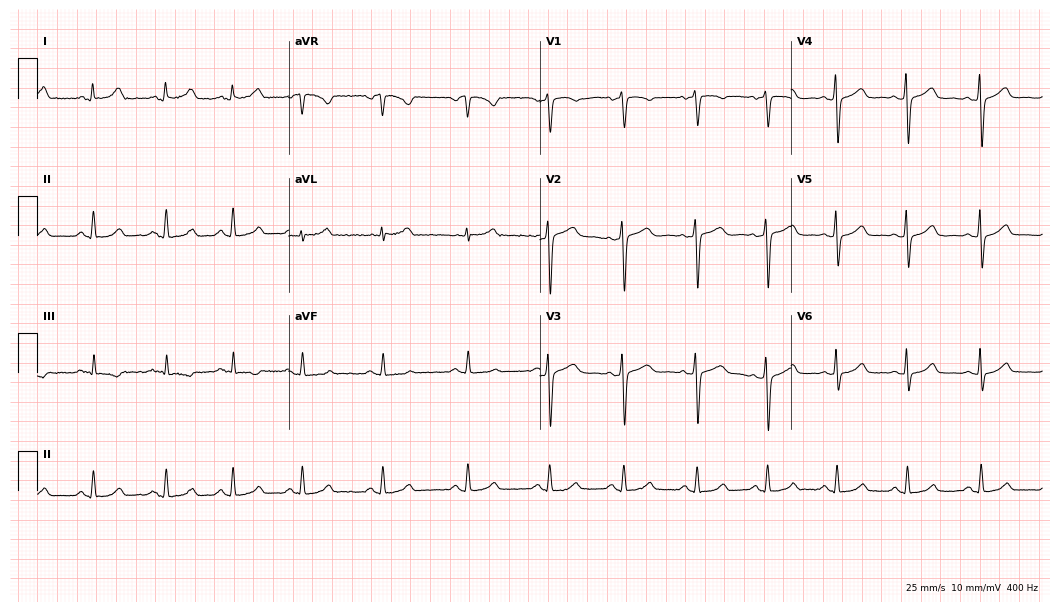
12-lead ECG from a 25-year-old female (10.2-second recording at 400 Hz). Recorded interpretation: within normal limits.